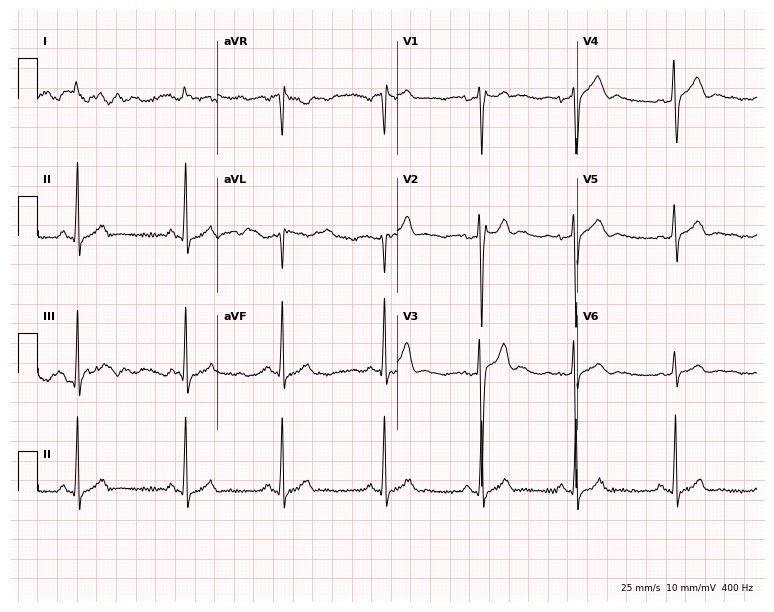
Standard 12-lead ECG recorded from a male patient, 20 years old. Read as a normal ECG.